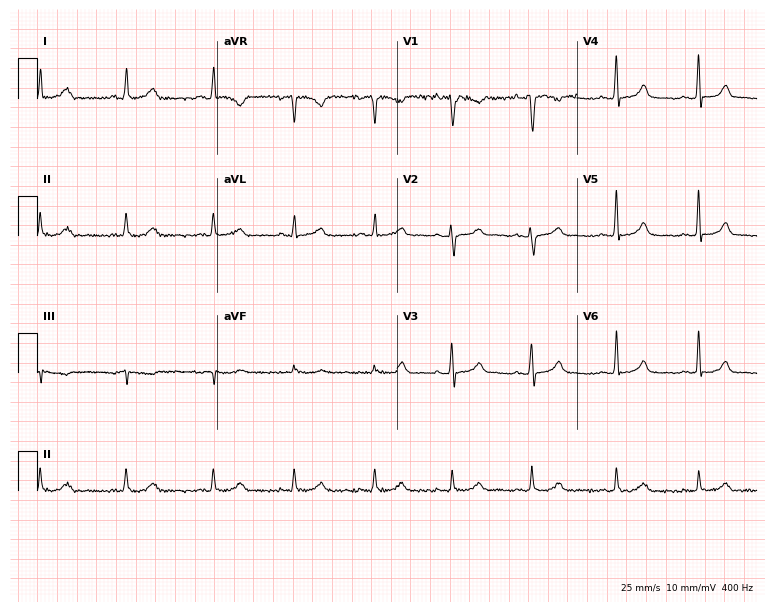
ECG (7.3-second recording at 400 Hz) — a woman, 28 years old. Screened for six findings — first-degree AV block, right bundle branch block, left bundle branch block, sinus bradycardia, atrial fibrillation, sinus tachycardia — none is recorded.